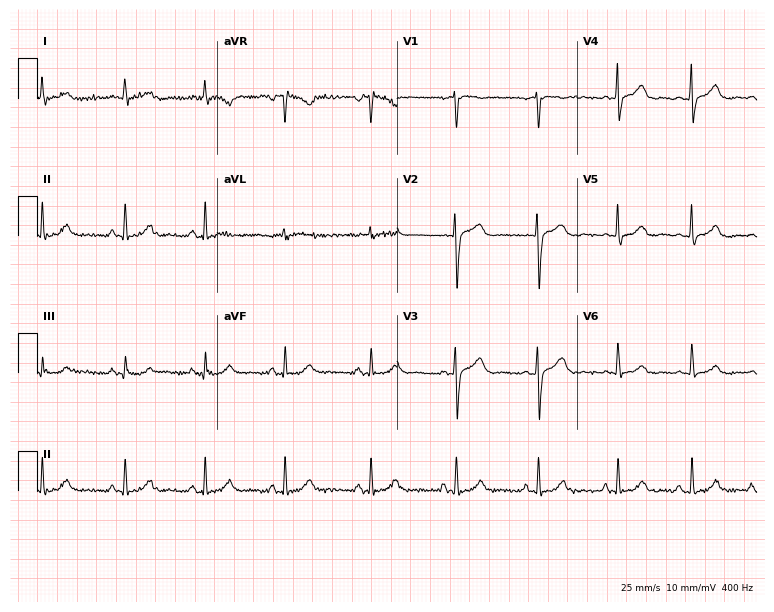
12-lead ECG from a 33-year-old female (7.3-second recording at 400 Hz). No first-degree AV block, right bundle branch block, left bundle branch block, sinus bradycardia, atrial fibrillation or sinus tachycardia recorded for this tracing.